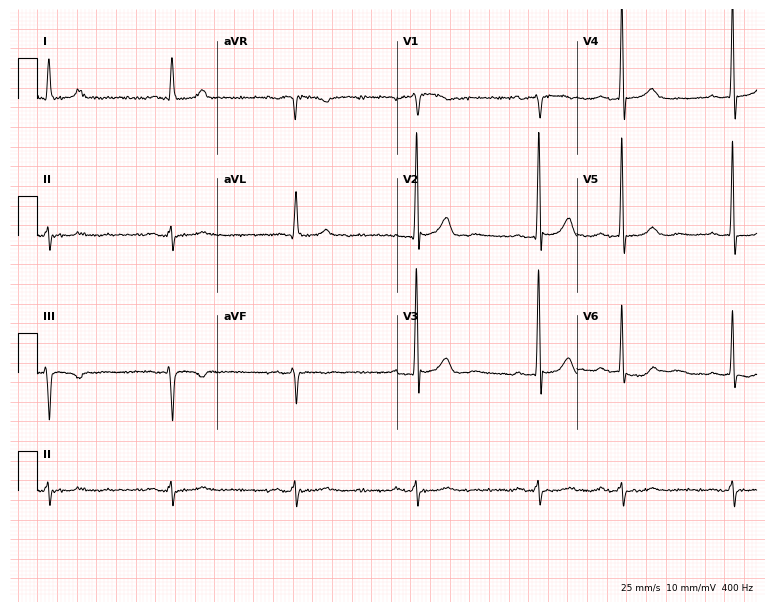
ECG — a 79-year-old male. Screened for six findings — first-degree AV block, right bundle branch block, left bundle branch block, sinus bradycardia, atrial fibrillation, sinus tachycardia — none is recorded. Findings outside these six are not listed.